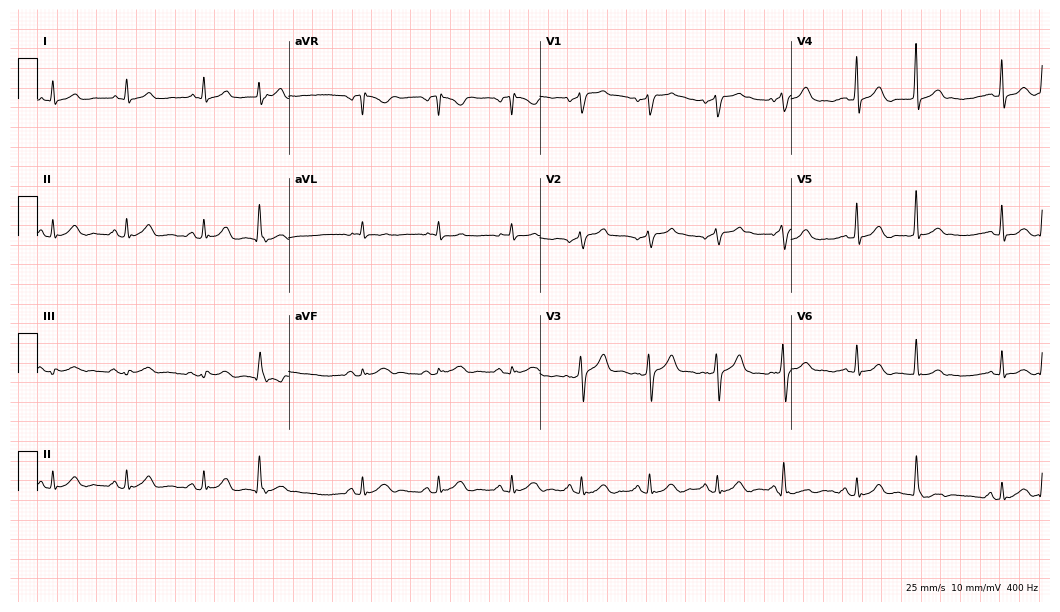
ECG (10.2-second recording at 400 Hz) — a 59-year-old male. Screened for six findings — first-degree AV block, right bundle branch block, left bundle branch block, sinus bradycardia, atrial fibrillation, sinus tachycardia — none is recorded.